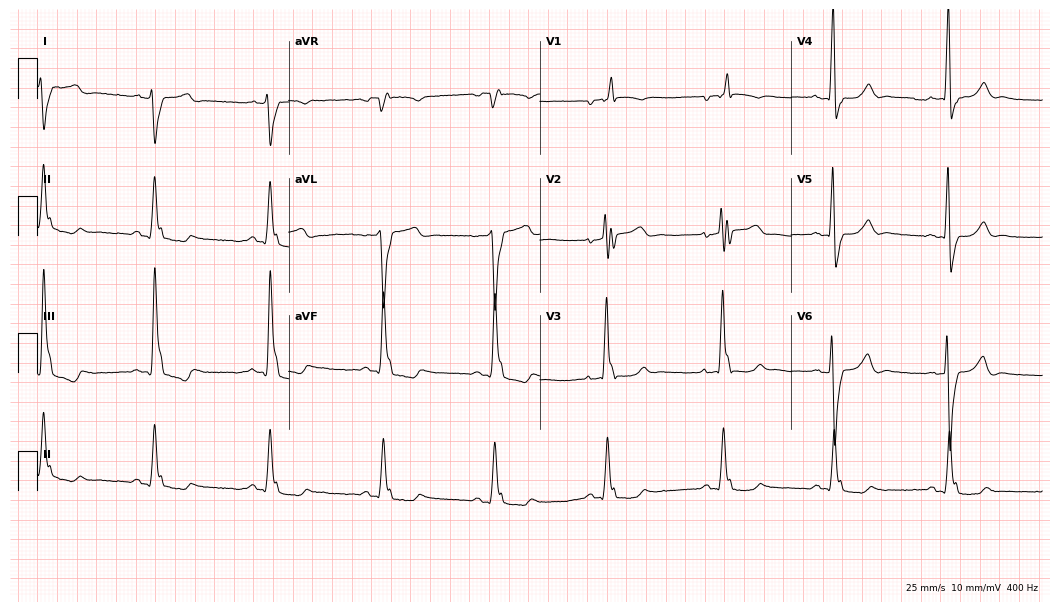
12-lead ECG from a 72-year-old male patient (10.2-second recording at 400 Hz). Shows right bundle branch block.